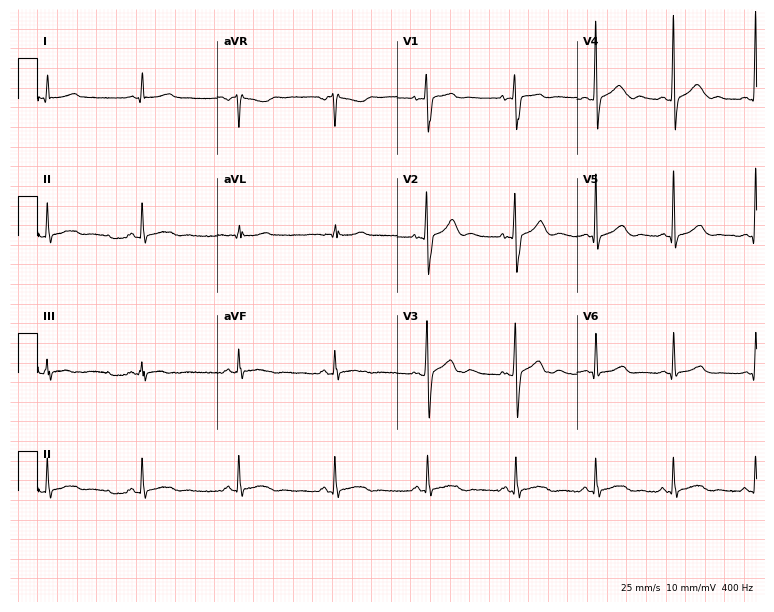
12-lead ECG from a man, 21 years old. Recorded interpretation: within normal limits.